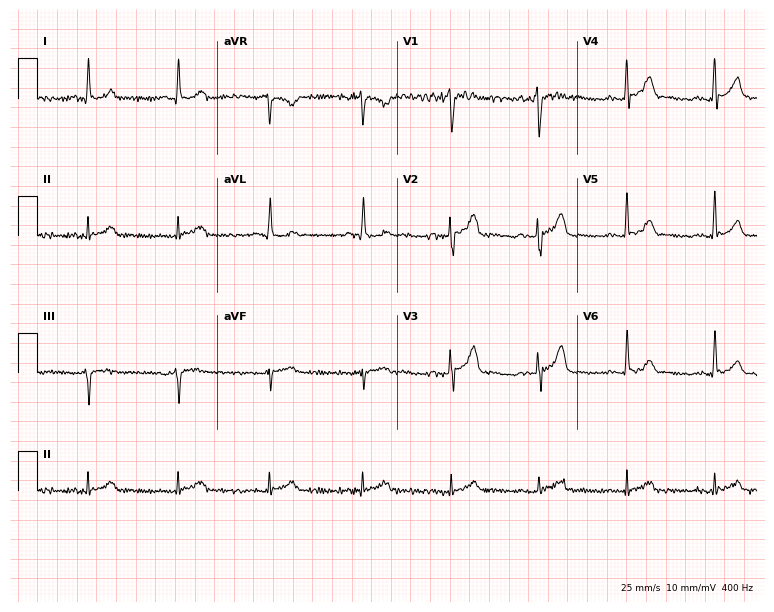
Standard 12-lead ECG recorded from a 43-year-old male patient. None of these six findings is recorded: first-degree AV block, right bundle branch block (RBBB), left bundle branch block (LBBB), sinus bradycardia, atrial fibrillation (AF), sinus tachycardia. Only these six findings were labelled.